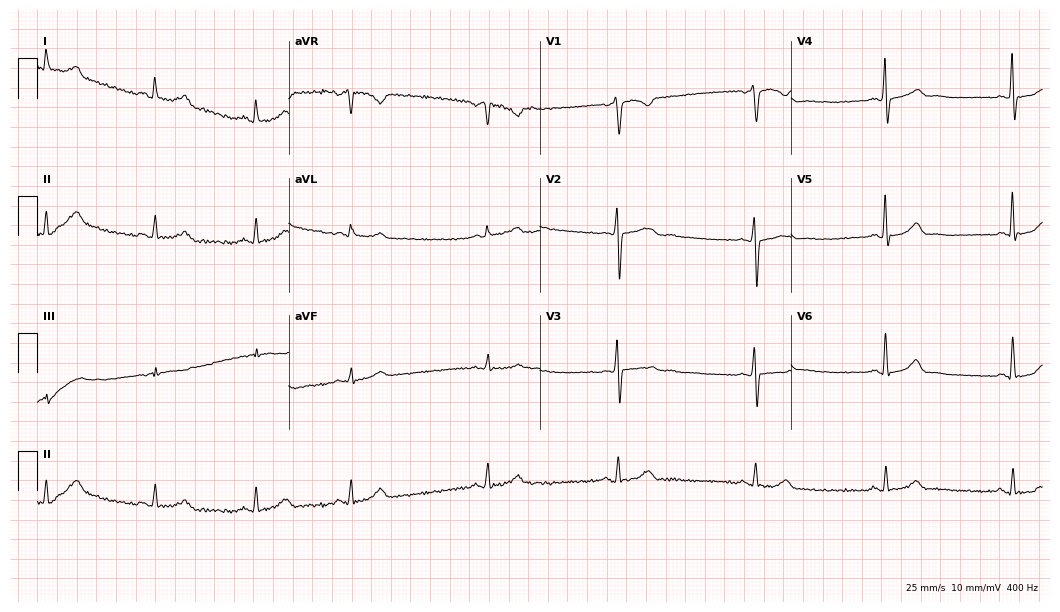
Standard 12-lead ECG recorded from a male patient, 42 years old. The tracing shows sinus bradycardia (a sinus rate of 50 beats per minute or less).